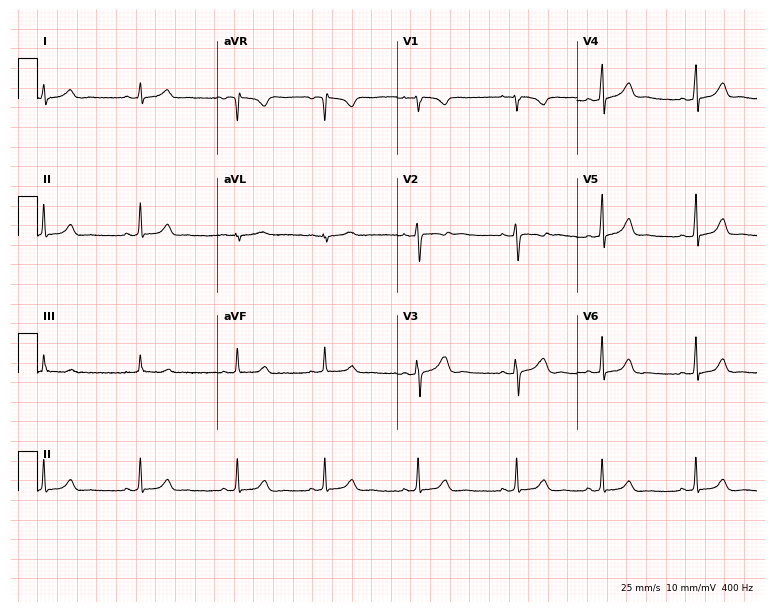
Standard 12-lead ECG recorded from a woman, 20 years old. None of these six findings is recorded: first-degree AV block, right bundle branch block (RBBB), left bundle branch block (LBBB), sinus bradycardia, atrial fibrillation (AF), sinus tachycardia.